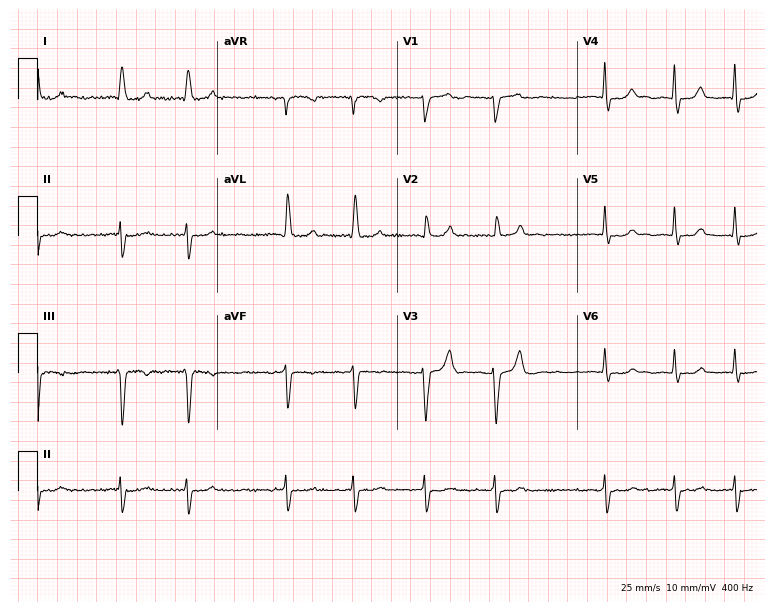
ECG (7.3-second recording at 400 Hz) — an 84-year-old woman. Findings include atrial fibrillation (AF).